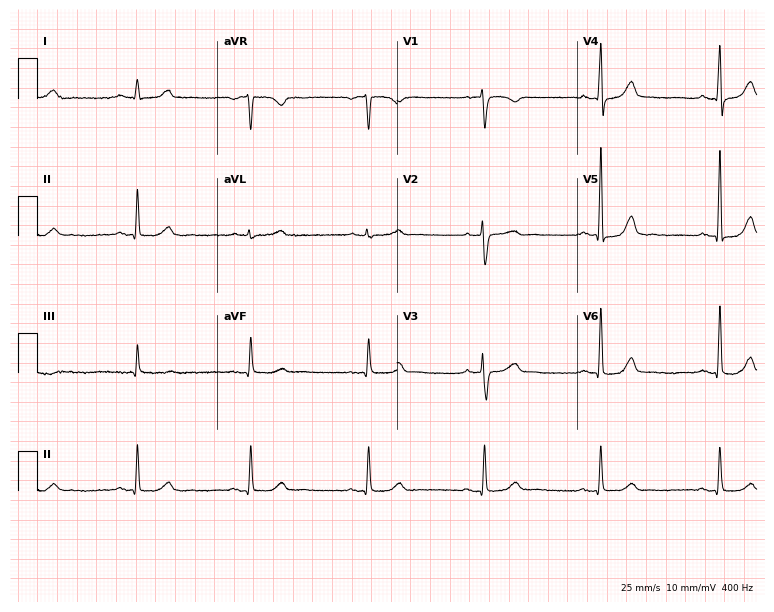
Resting 12-lead electrocardiogram. Patient: a 62-year-old female. Read as a normal ECG.